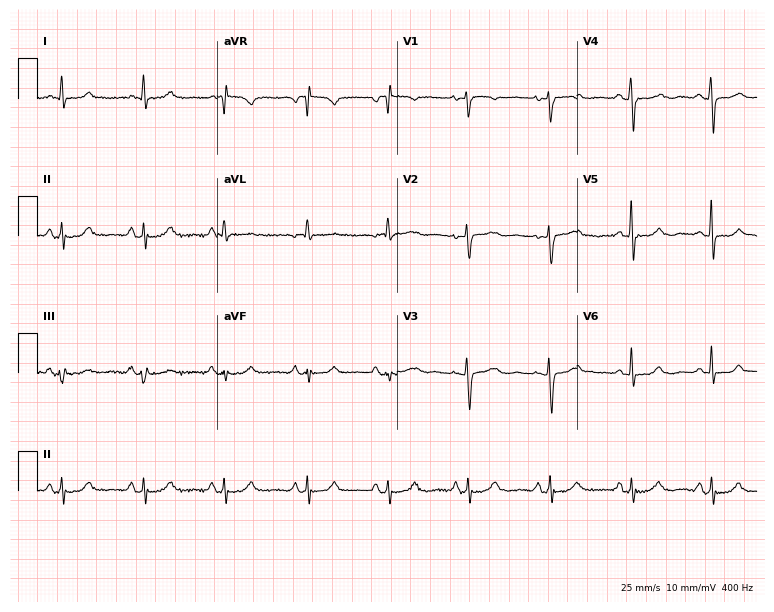
ECG — a female patient, 55 years old. Screened for six findings — first-degree AV block, right bundle branch block (RBBB), left bundle branch block (LBBB), sinus bradycardia, atrial fibrillation (AF), sinus tachycardia — none is recorded. Other findings, if any, are not listed.